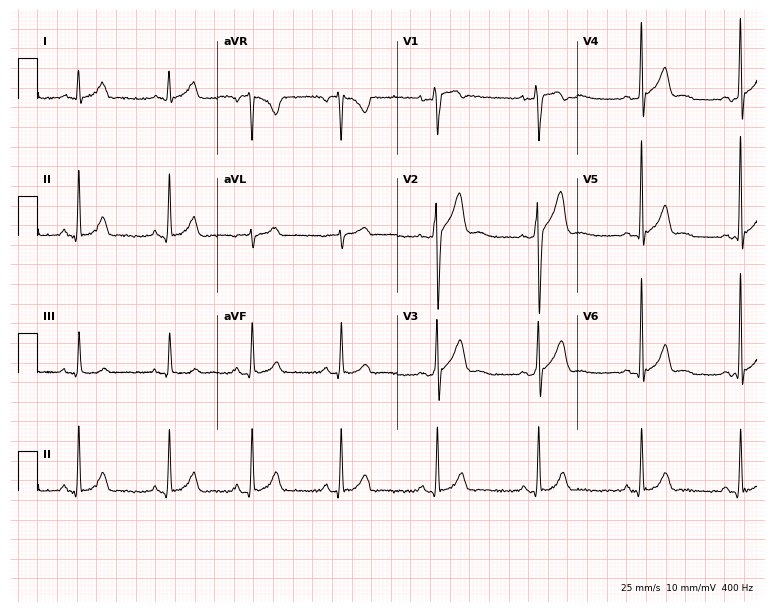
ECG (7.3-second recording at 400 Hz) — a 31-year-old man. Labelled as a normal ECG.